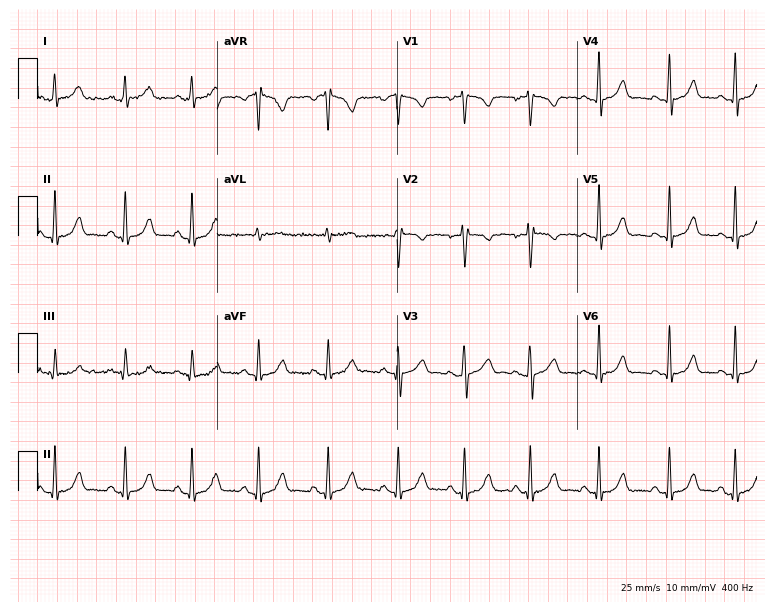
ECG — a 20-year-old female patient. Labelled as a normal ECG.